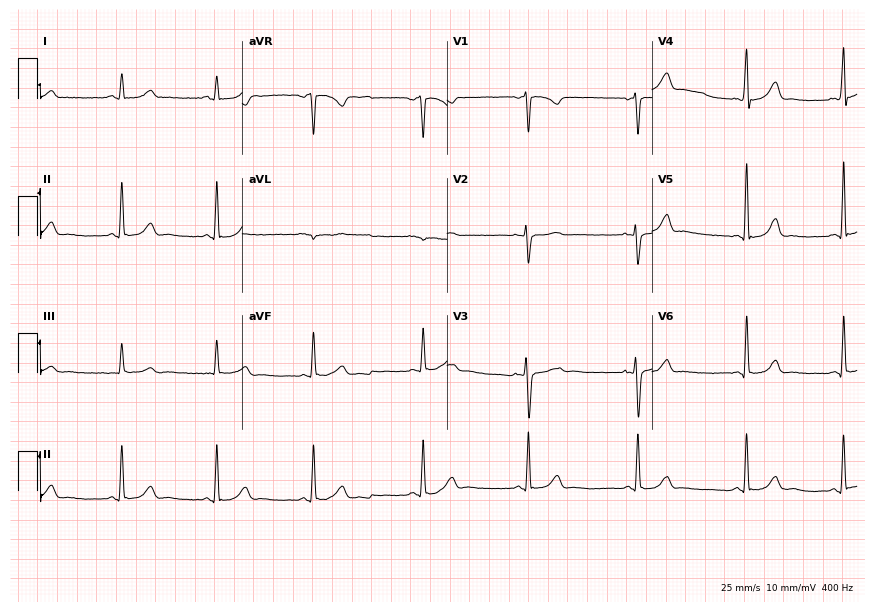
Resting 12-lead electrocardiogram. Patient: a female, 25 years old. None of these six findings is recorded: first-degree AV block, right bundle branch block (RBBB), left bundle branch block (LBBB), sinus bradycardia, atrial fibrillation (AF), sinus tachycardia. Only these six findings were labelled.